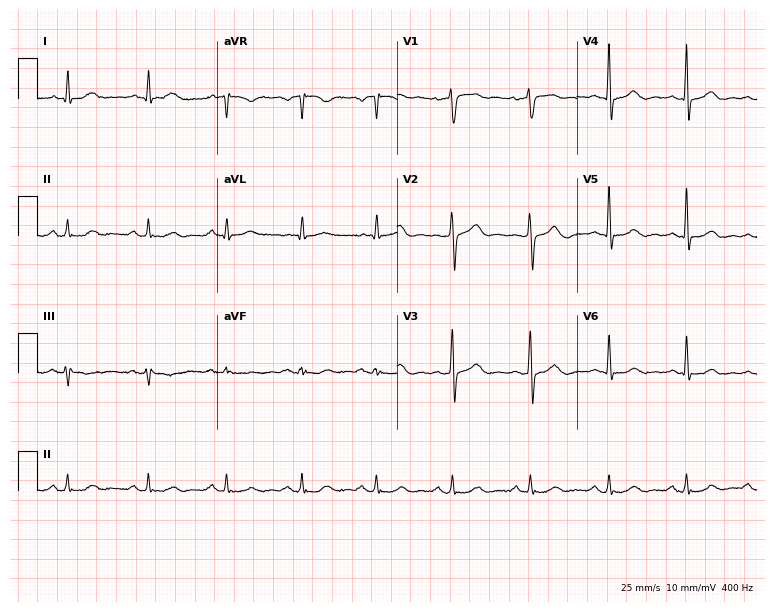
Electrocardiogram (7.3-second recording at 400 Hz), a 63-year-old man. Of the six screened findings (first-degree AV block, right bundle branch block (RBBB), left bundle branch block (LBBB), sinus bradycardia, atrial fibrillation (AF), sinus tachycardia), none is recorded. Findings outside these six are not listed.